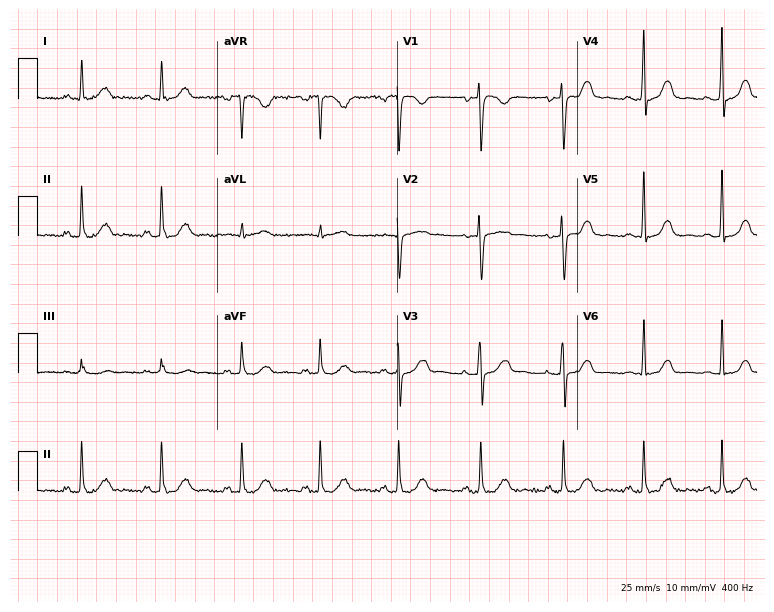
Electrocardiogram (7.3-second recording at 400 Hz), a 45-year-old female patient. Overall reading on record: normal ECG.